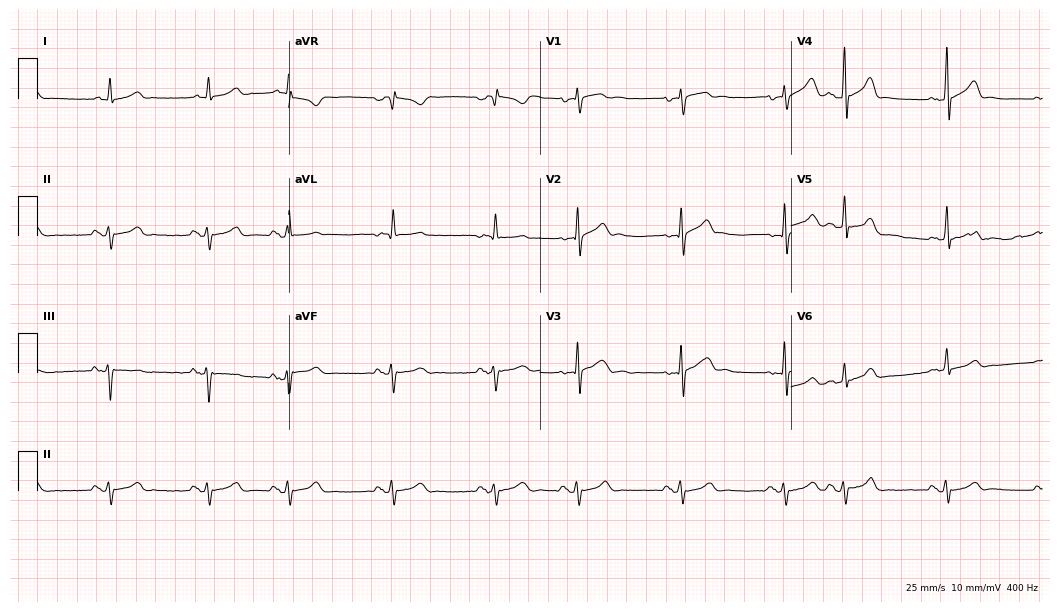
12-lead ECG (10.2-second recording at 400 Hz) from a male patient, 66 years old. Labelled as a normal ECG.